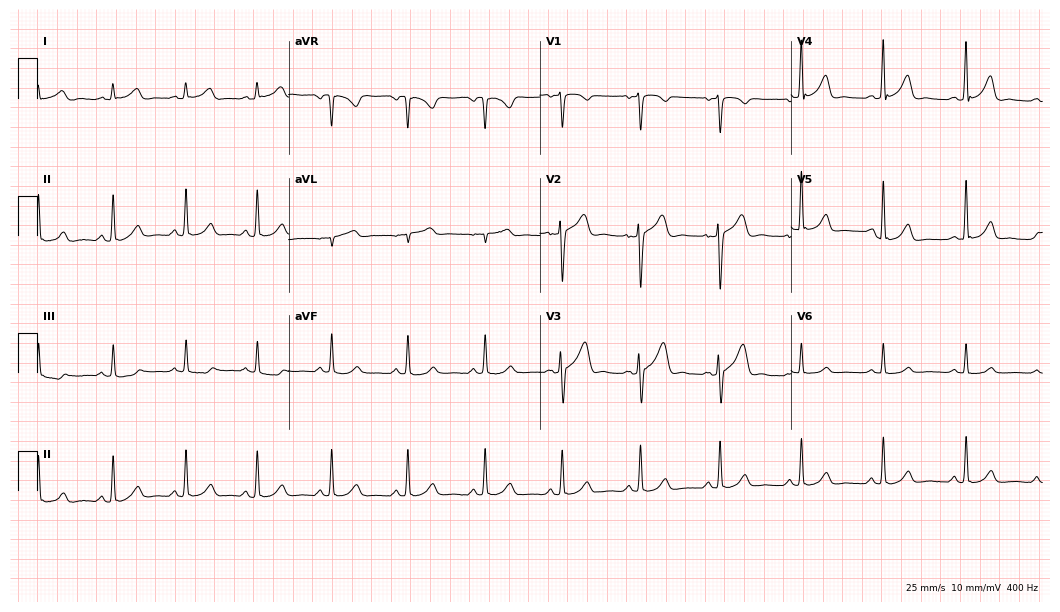
12-lead ECG from a man, 34 years old. Recorded interpretation: within normal limits.